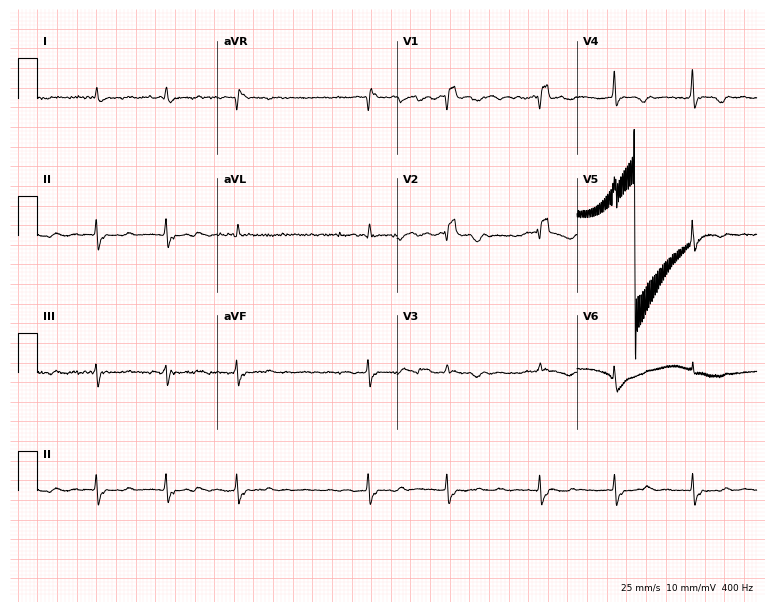
12-lead ECG from a female patient, 69 years old (7.3-second recording at 400 Hz). No first-degree AV block, right bundle branch block, left bundle branch block, sinus bradycardia, atrial fibrillation or sinus tachycardia recorded for this tracing. Only these six findings were labelled.